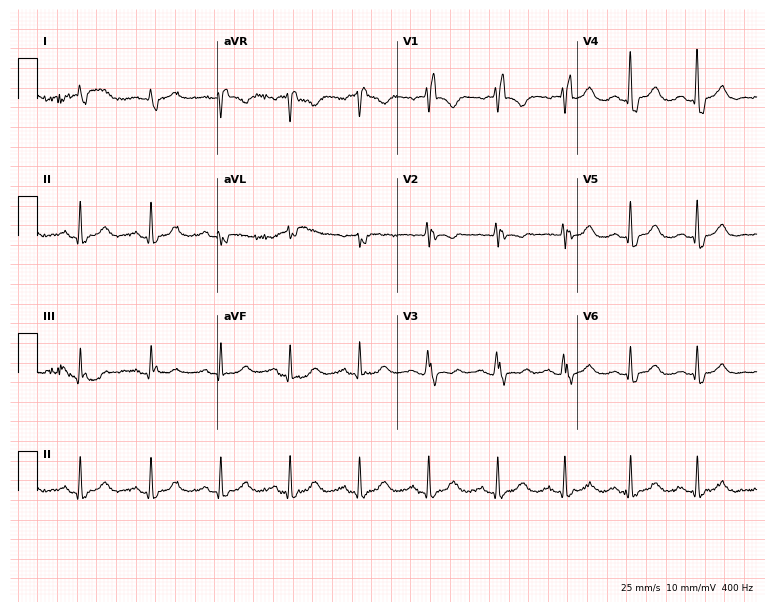
12-lead ECG from a female patient, 64 years old. Shows right bundle branch block.